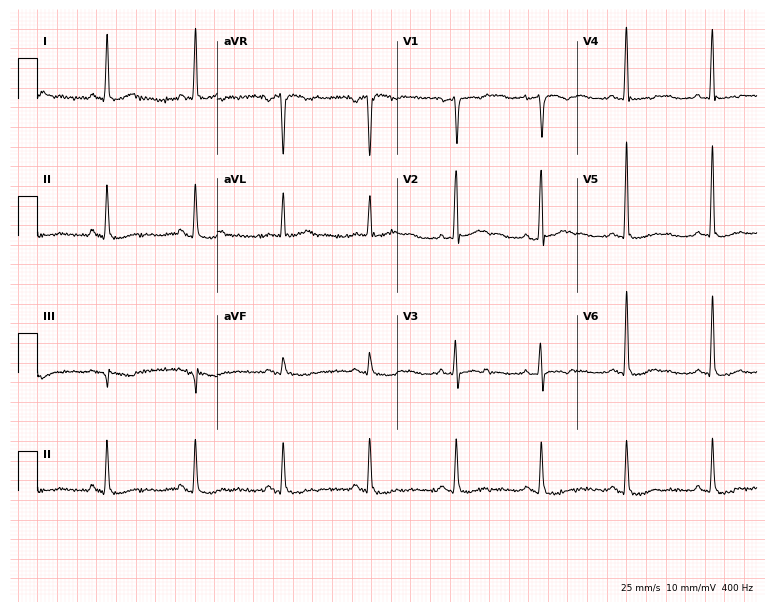
12-lead ECG from a male, 51 years old. Screened for six findings — first-degree AV block, right bundle branch block, left bundle branch block, sinus bradycardia, atrial fibrillation, sinus tachycardia — none is recorded. Only these six findings were labelled.